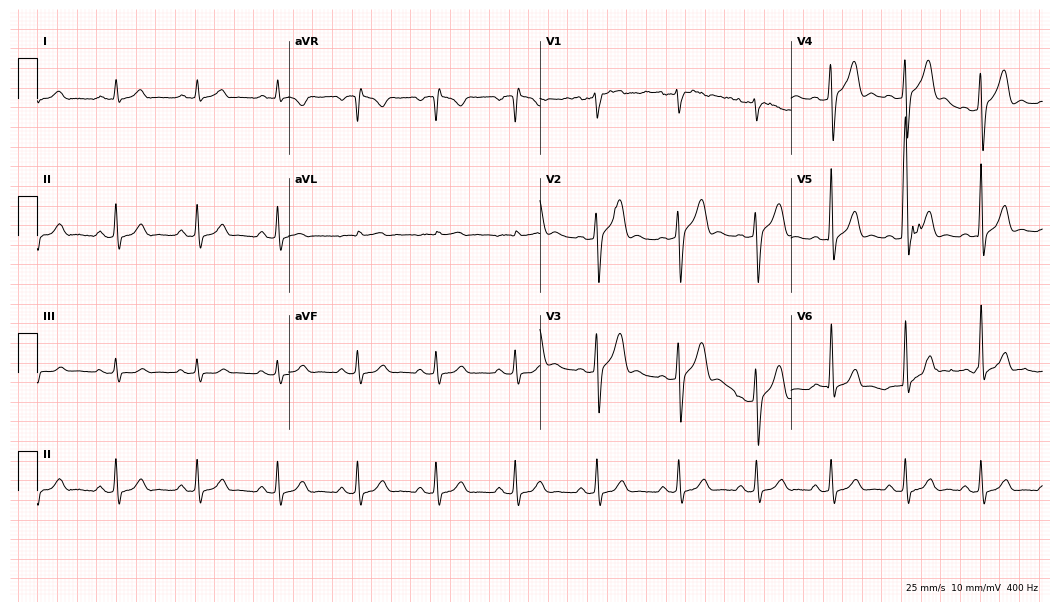
Electrocardiogram (10.2-second recording at 400 Hz), a man, 38 years old. Overall reading on record: normal ECG.